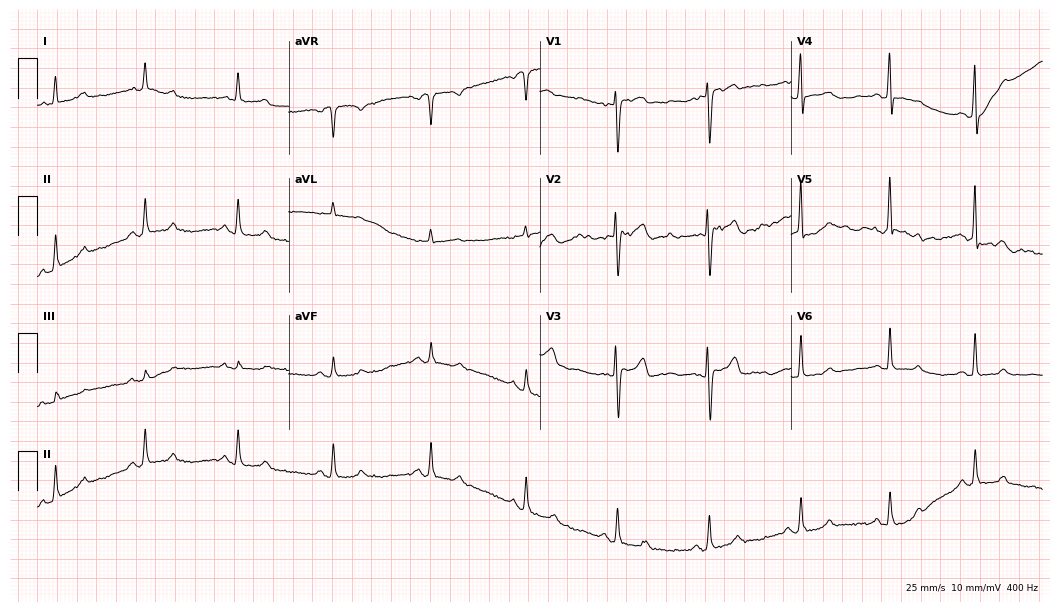
Electrocardiogram (10.2-second recording at 400 Hz), a 70-year-old woman. Overall reading on record: normal ECG.